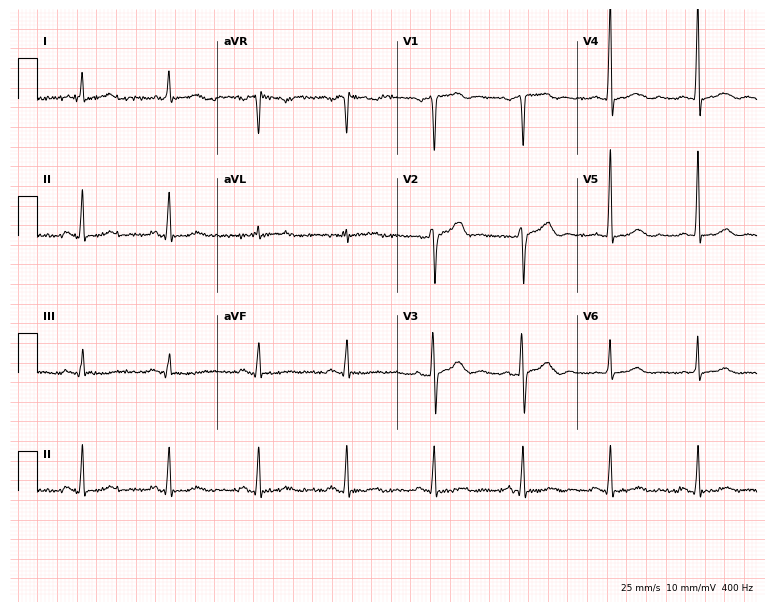
Resting 12-lead electrocardiogram. Patient: a man, 66 years old. None of these six findings is recorded: first-degree AV block, right bundle branch block, left bundle branch block, sinus bradycardia, atrial fibrillation, sinus tachycardia.